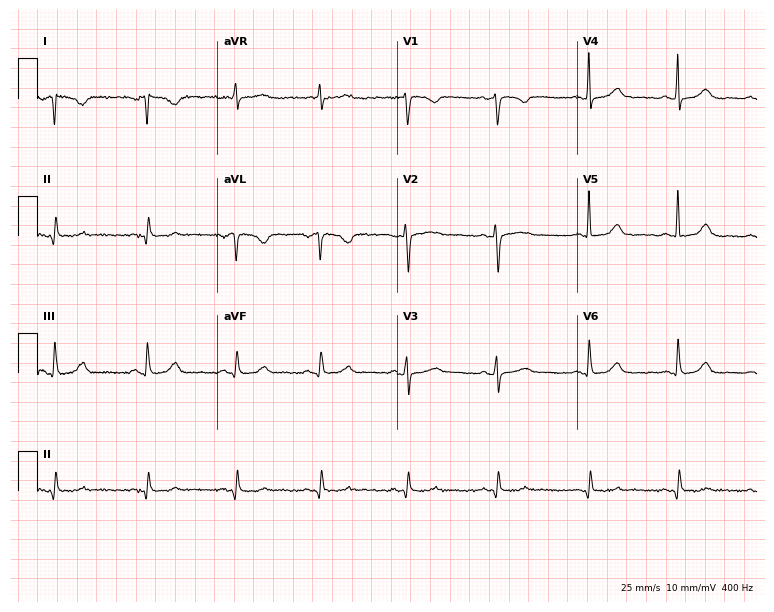
ECG — a woman, 43 years old. Screened for six findings — first-degree AV block, right bundle branch block, left bundle branch block, sinus bradycardia, atrial fibrillation, sinus tachycardia — none is recorded. Only these six findings were labelled.